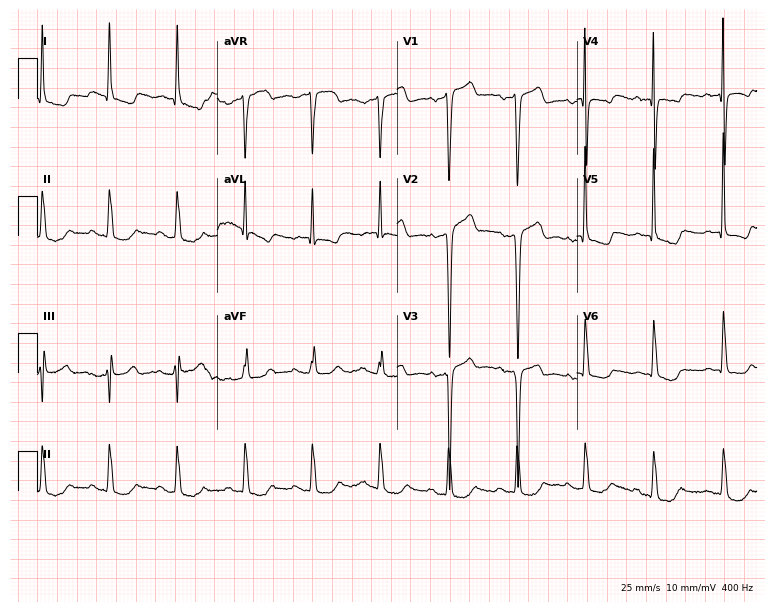
12-lead ECG from an 80-year-old man. Screened for six findings — first-degree AV block, right bundle branch block, left bundle branch block, sinus bradycardia, atrial fibrillation, sinus tachycardia — none is recorded.